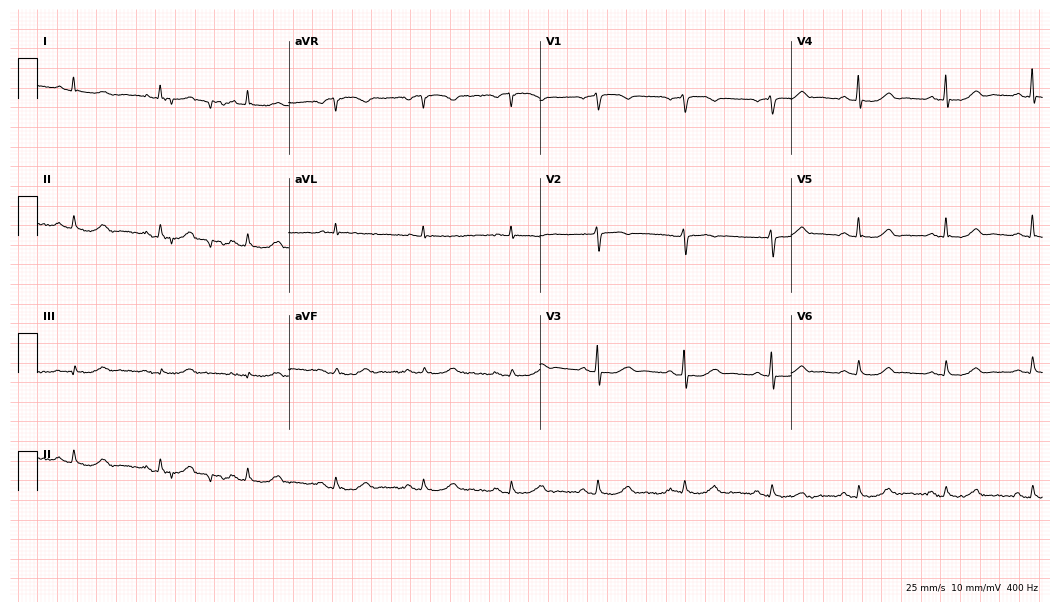
12-lead ECG from a female patient, 71 years old. Screened for six findings — first-degree AV block, right bundle branch block, left bundle branch block, sinus bradycardia, atrial fibrillation, sinus tachycardia — none is recorded.